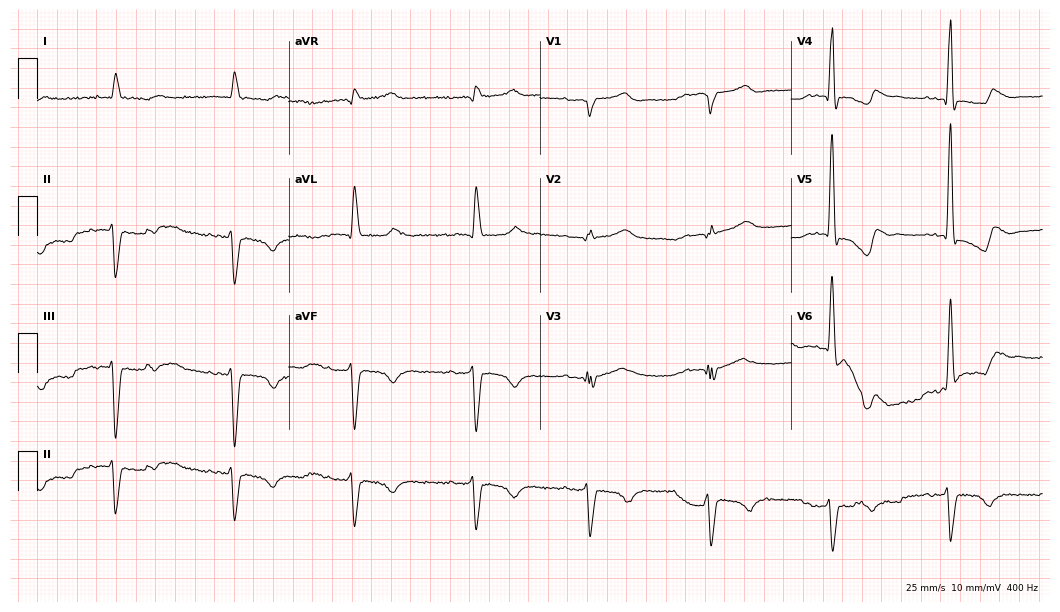
12-lead ECG from an 84-year-old male patient (10.2-second recording at 400 Hz). Shows first-degree AV block.